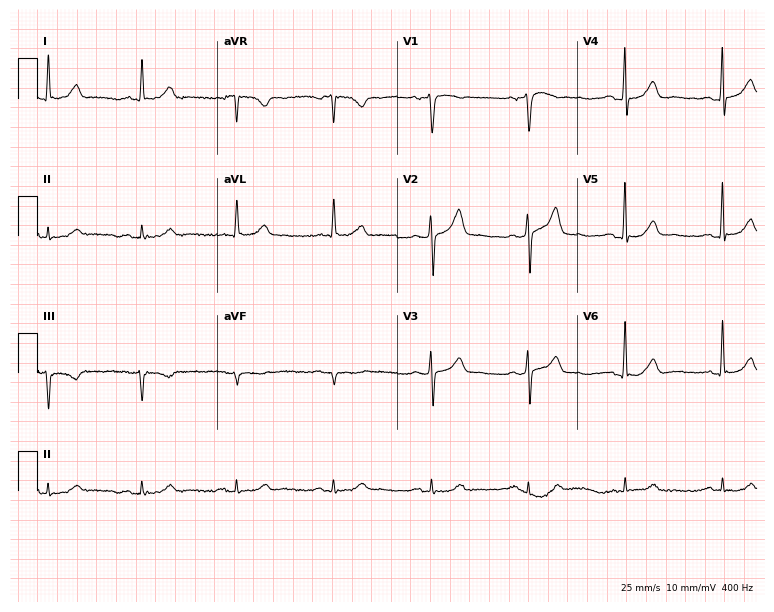
Standard 12-lead ECG recorded from an 83-year-old man (7.3-second recording at 400 Hz). None of these six findings is recorded: first-degree AV block, right bundle branch block (RBBB), left bundle branch block (LBBB), sinus bradycardia, atrial fibrillation (AF), sinus tachycardia. Only these six findings were labelled.